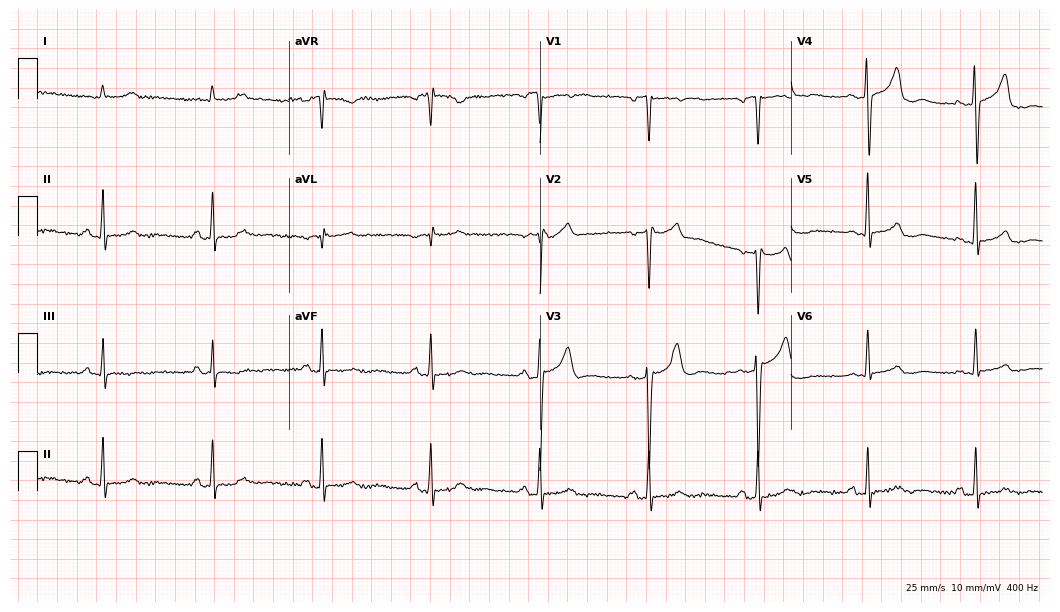
12-lead ECG from a 75-year-old male (10.2-second recording at 400 Hz). Recorded interpretation: within normal limits.